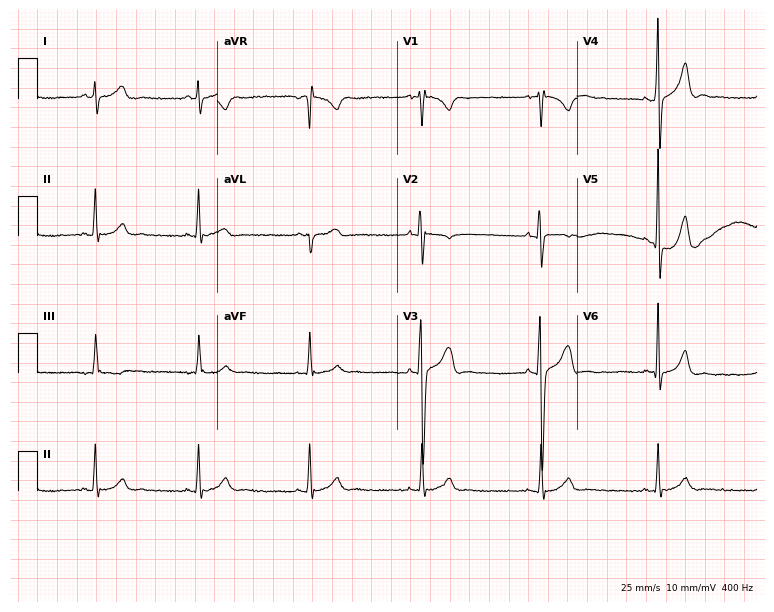
Resting 12-lead electrocardiogram (7.3-second recording at 400 Hz). Patient: a male, 17 years old. Read as a normal ECG.